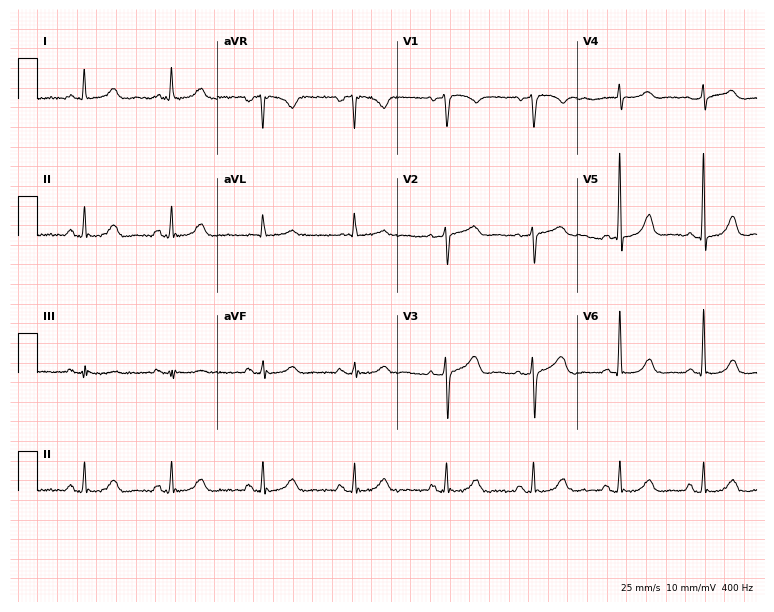
12-lead ECG from a woman, 61 years old (7.3-second recording at 400 Hz). Recorded interpretation: within normal limits.